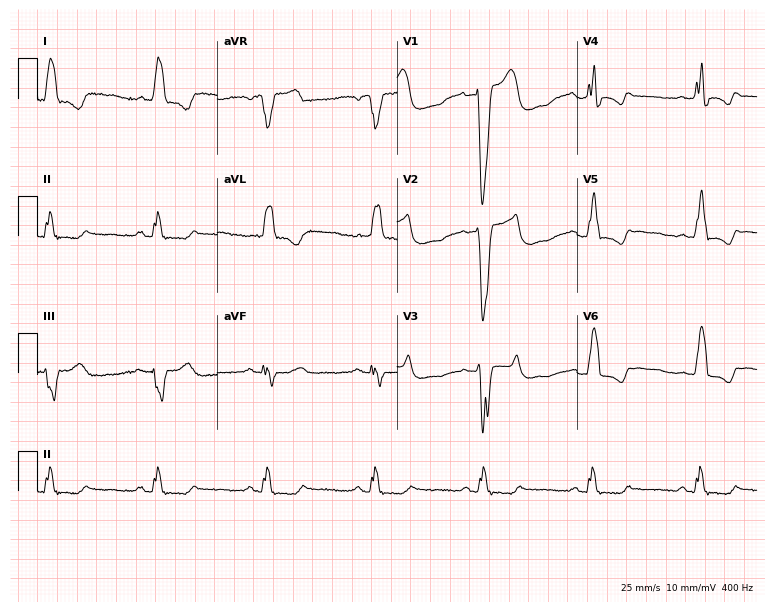
12-lead ECG from a male patient, 84 years old. Shows left bundle branch block (LBBB).